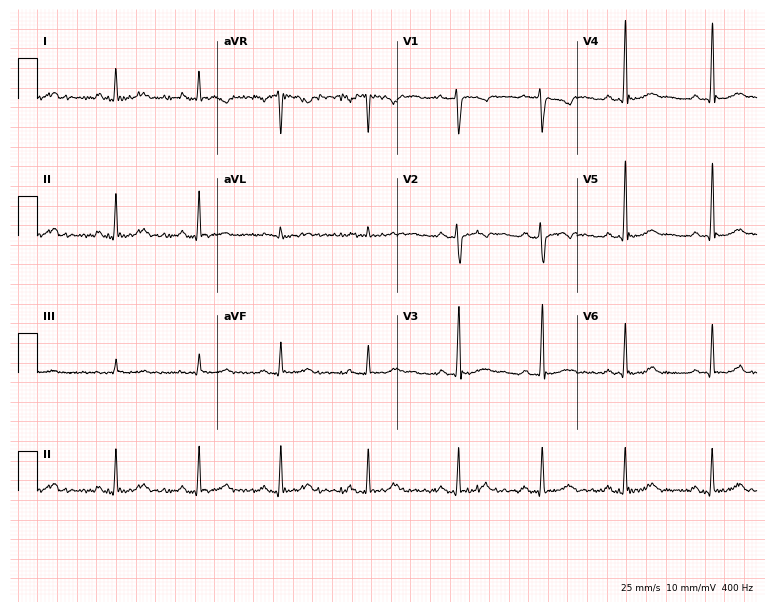
ECG — a 29-year-old female. Screened for six findings — first-degree AV block, right bundle branch block (RBBB), left bundle branch block (LBBB), sinus bradycardia, atrial fibrillation (AF), sinus tachycardia — none is recorded. Other findings, if any, are not listed.